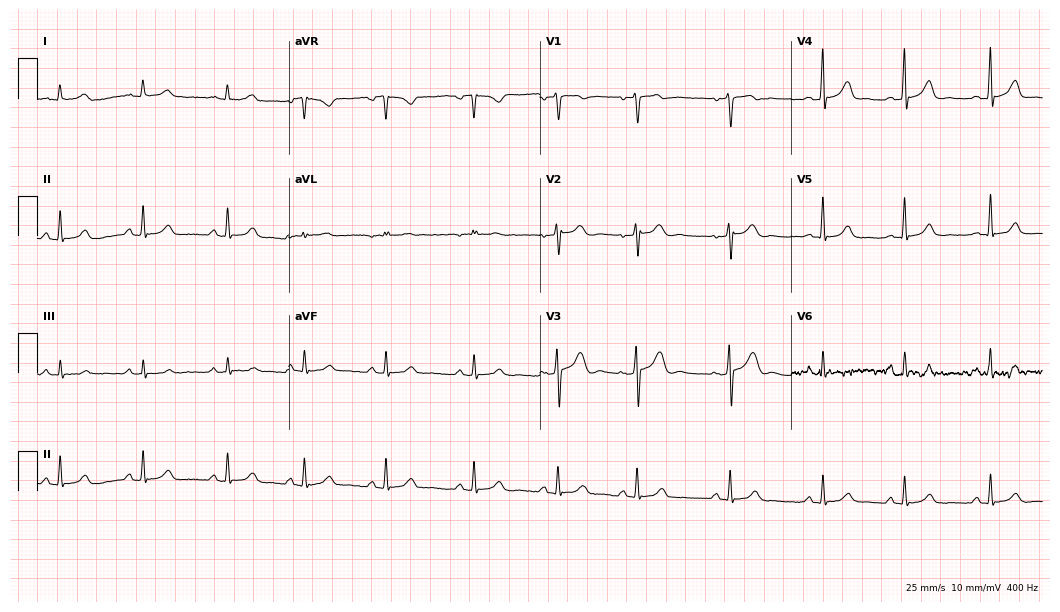
12-lead ECG from a 30-year-old male patient (10.2-second recording at 400 Hz). Recorded interpretation: within normal limits.